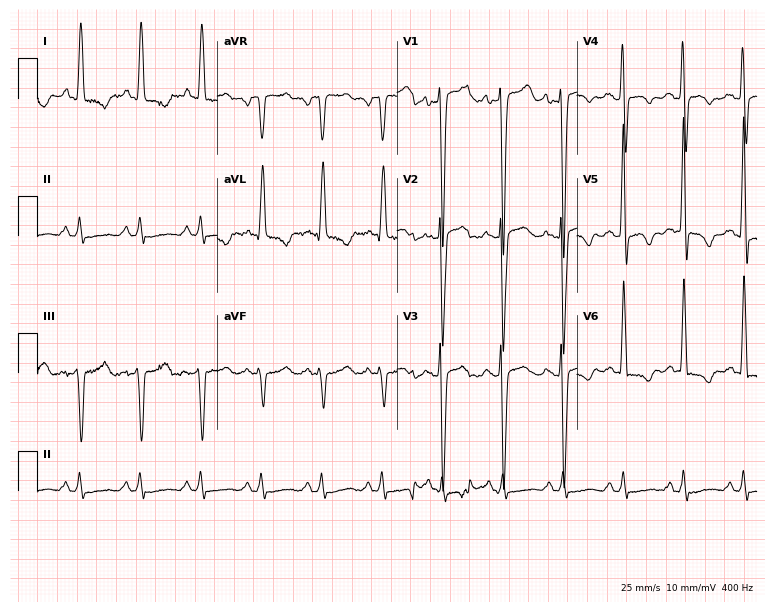
12-lead ECG (7.3-second recording at 400 Hz) from a male, 56 years old. Screened for six findings — first-degree AV block, right bundle branch block, left bundle branch block, sinus bradycardia, atrial fibrillation, sinus tachycardia — none is recorded.